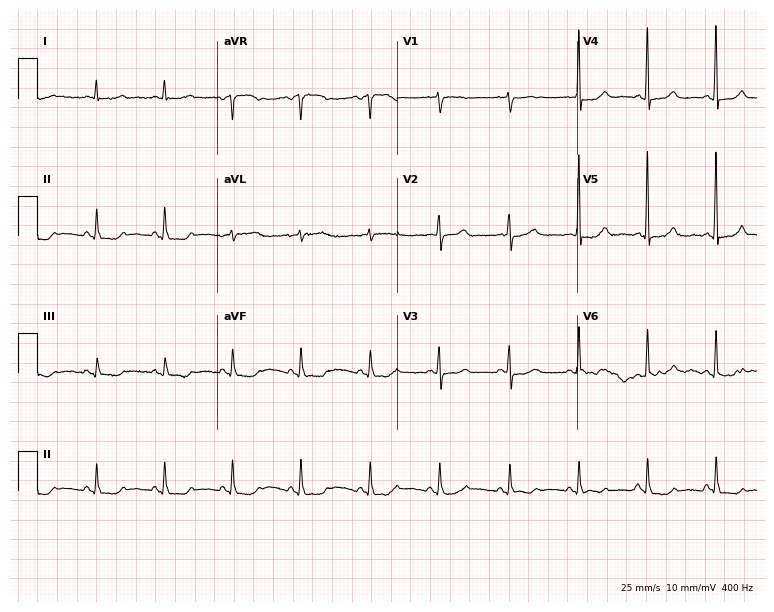
ECG — a female patient, 71 years old. Screened for six findings — first-degree AV block, right bundle branch block, left bundle branch block, sinus bradycardia, atrial fibrillation, sinus tachycardia — none is recorded.